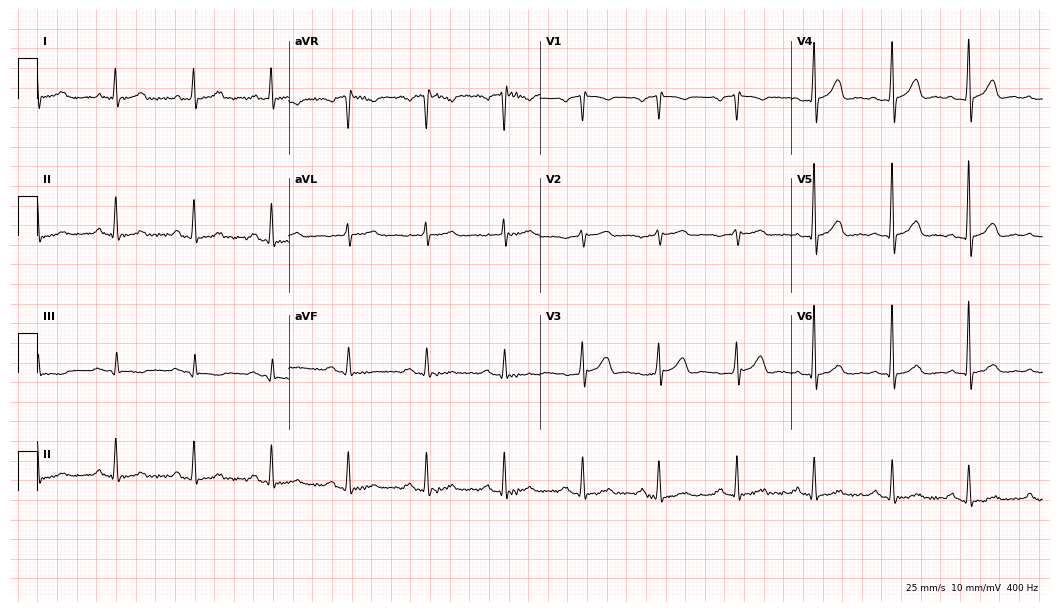
Resting 12-lead electrocardiogram (10.2-second recording at 400 Hz). Patient: a 72-year-old man. None of these six findings is recorded: first-degree AV block, right bundle branch block, left bundle branch block, sinus bradycardia, atrial fibrillation, sinus tachycardia.